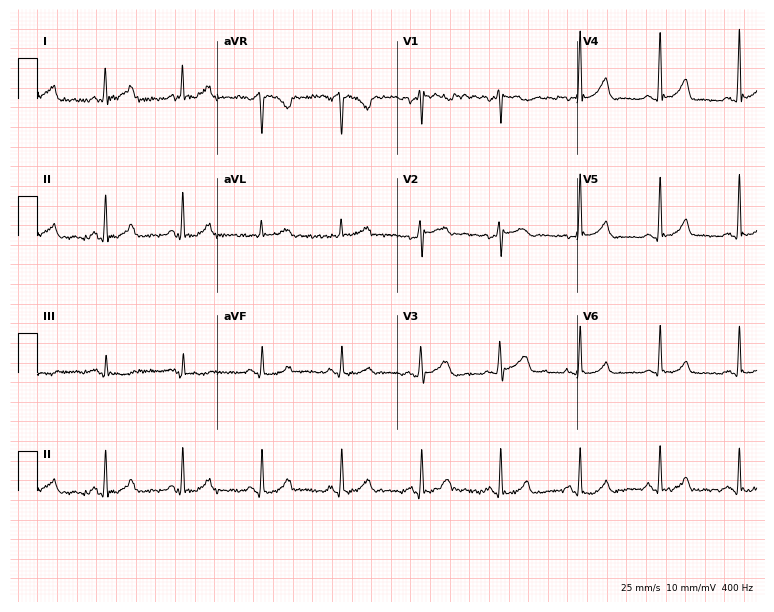
ECG (7.3-second recording at 400 Hz) — a 42-year-old female. Labelled as a normal ECG.